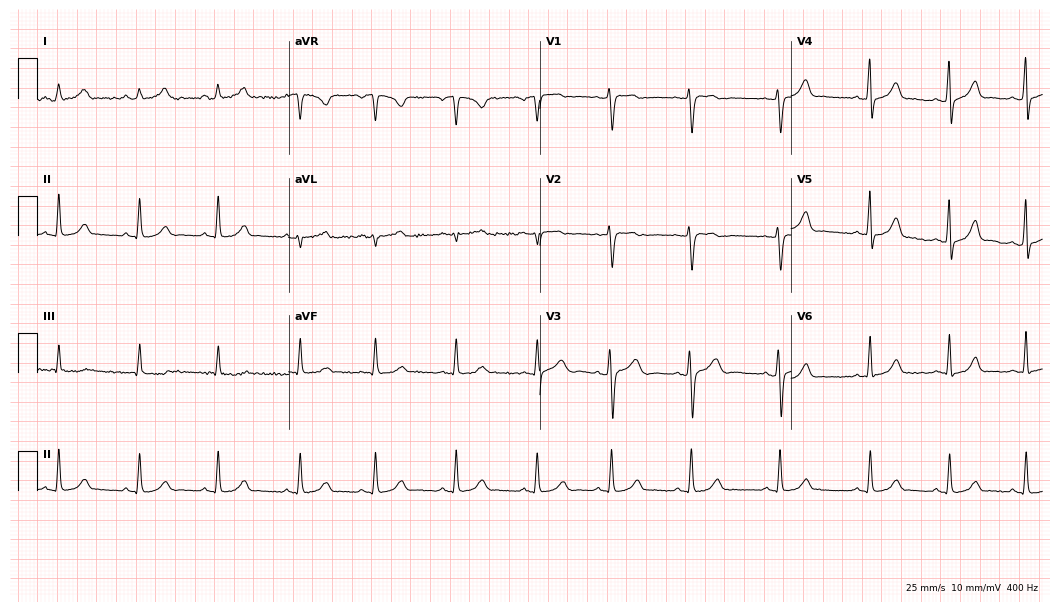
Resting 12-lead electrocardiogram. Patient: a 36-year-old female. Read as a normal ECG.